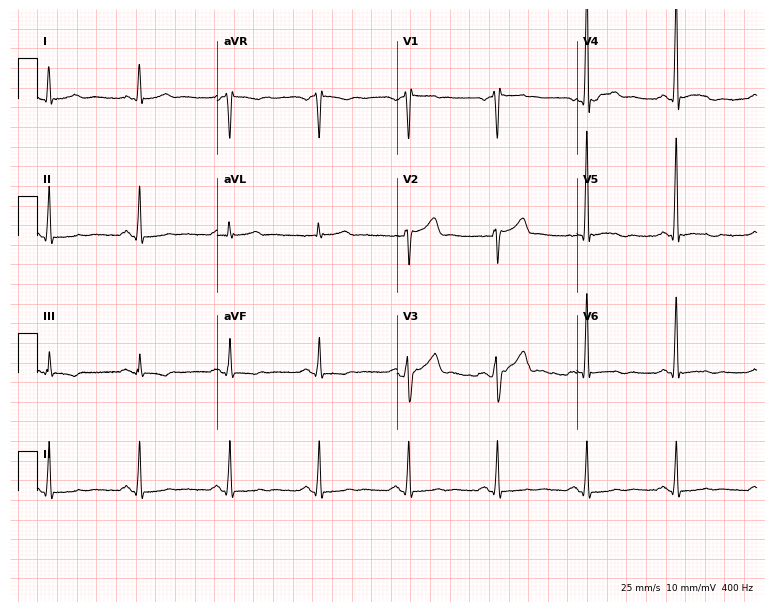
12-lead ECG from a 62-year-old man. Recorded interpretation: within normal limits.